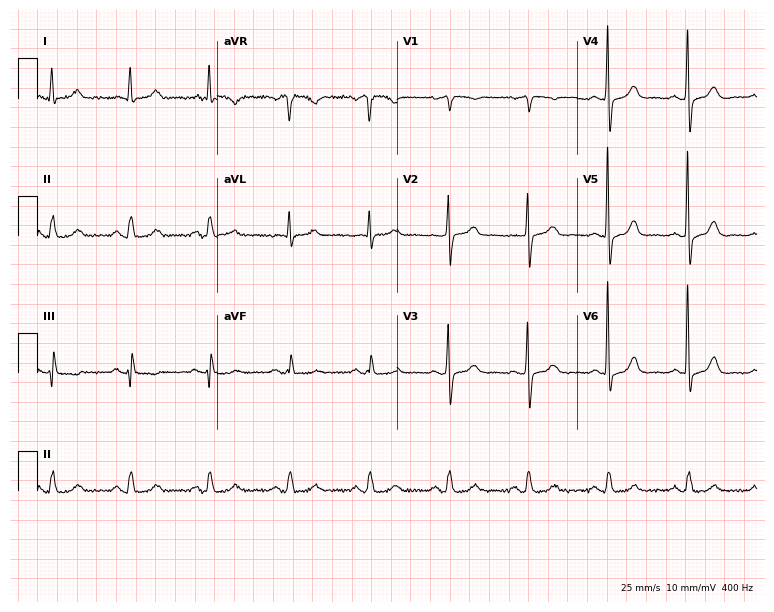
12-lead ECG from a female, 81 years old (7.3-second recording at 400 Hz). Recorded interpretation: within normal limits.